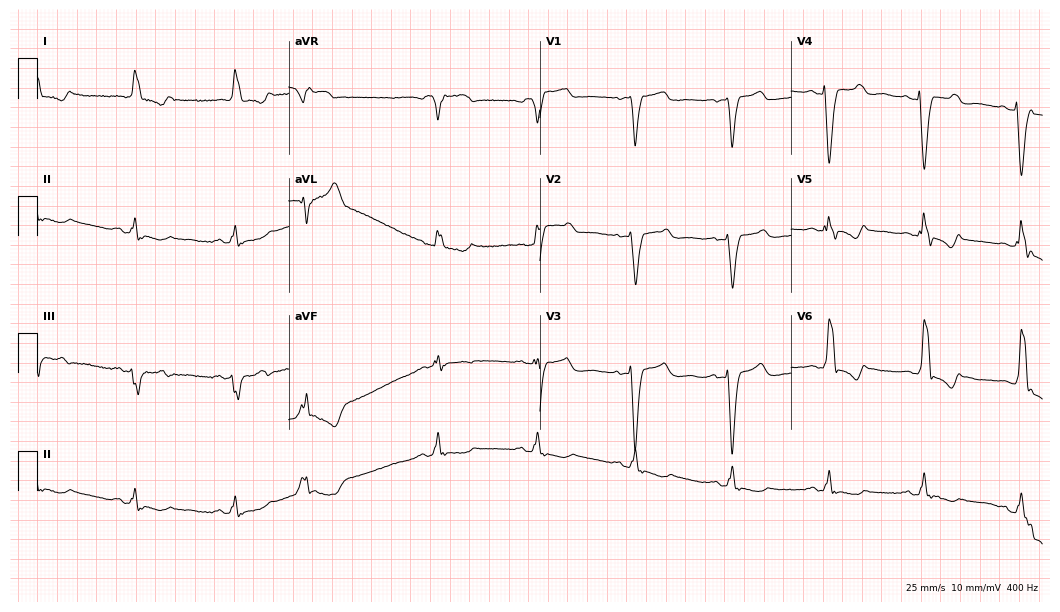
12-lead ECG from a woman, 76 years old. Shows left bundle branch block.